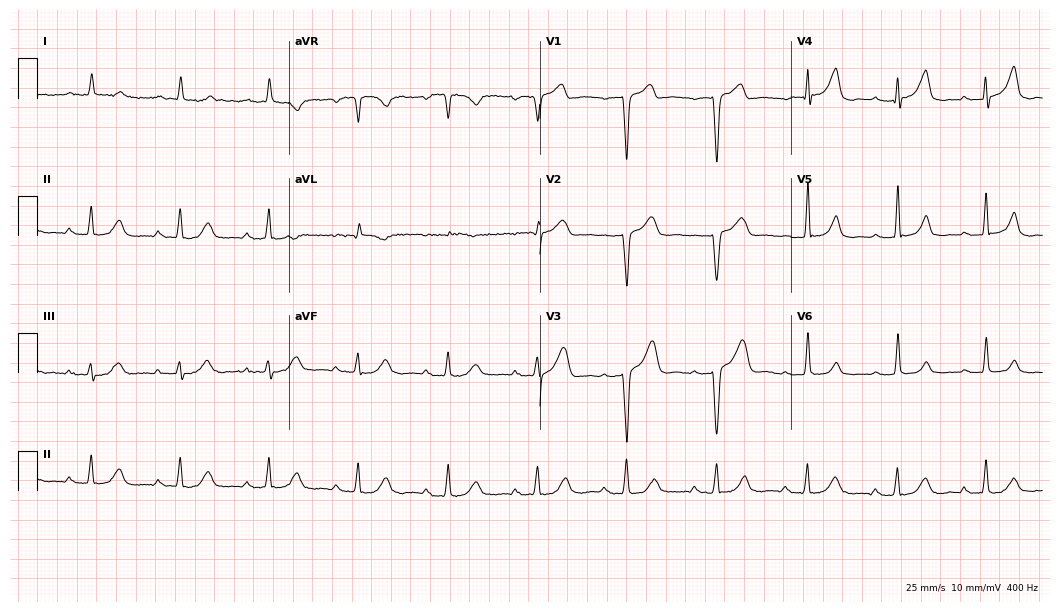
Resting 12-lead electrocardiogram. Patient: a male, 66 years old. The tracing shows first-degree AV block.